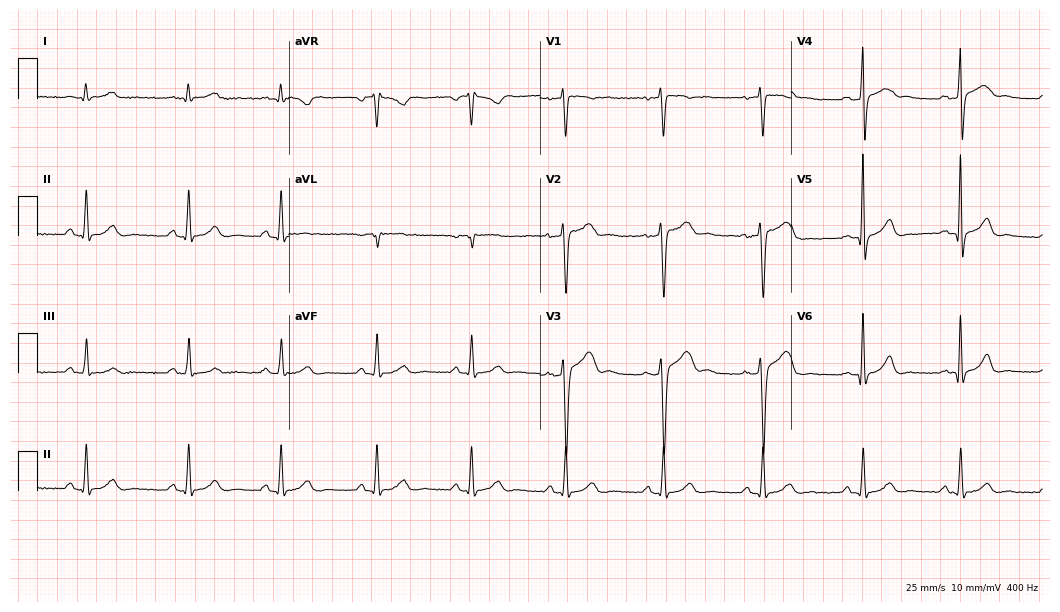
12-lead ECG from a male, 39 years old (10.2-second recording at 400 Hz). No first-degree AV block, right bundle branch block (RBBB), left bundle branch block (LBBB), sinus bradycardia, atrial fibrillation (AF) or sinus tachycardia recorded for this tracing.